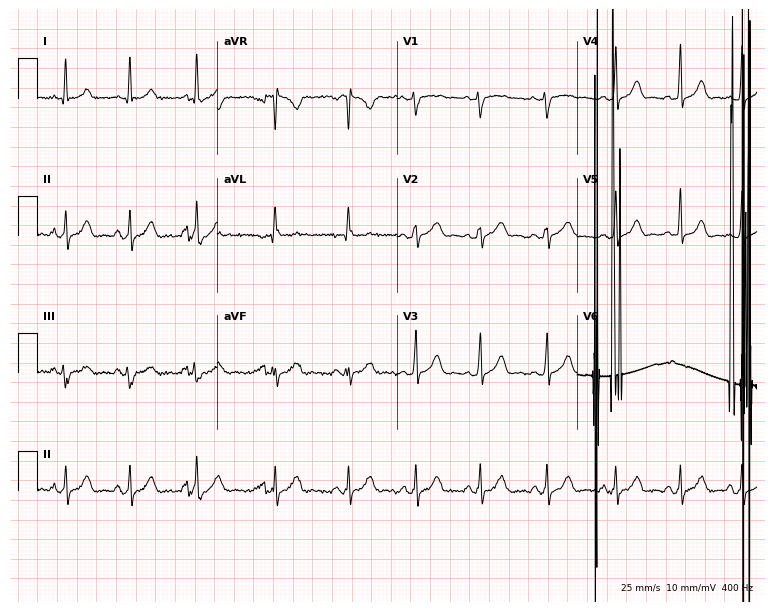
Standard 12-lead ECG recorded from a 19-year-old woman (7.3-second recording at 400 Hz). None of these six findings is recorded: first-degree AV block, right bundle branch block, left bundle branch block, sinus bradycardia, atrial fibrillation, sinus tachycardia.